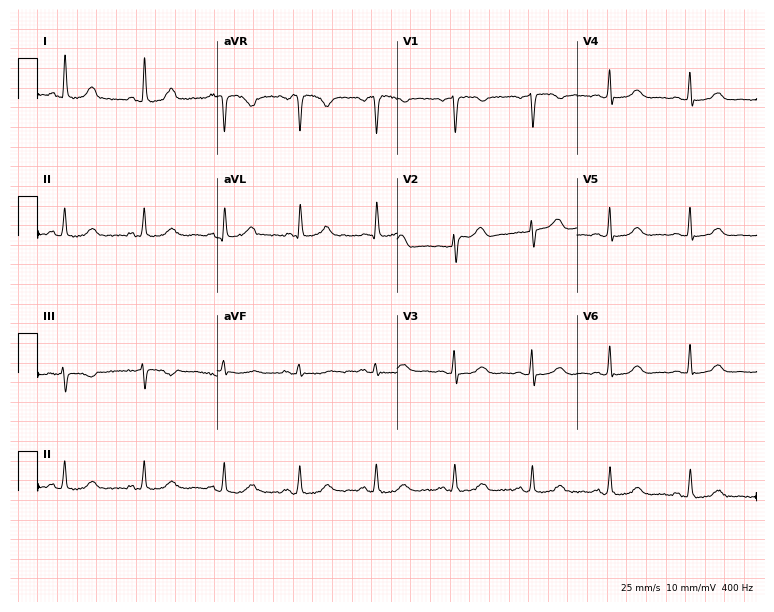
12-lead ECG from a woman, 52 years old. No first-degree AV block, right bundle branch block (RBBB), left bundle branch block (LBBB), sinus bradycardia, atrial fibrillation (AF) or sinus tachycardia recorded for this tracing.